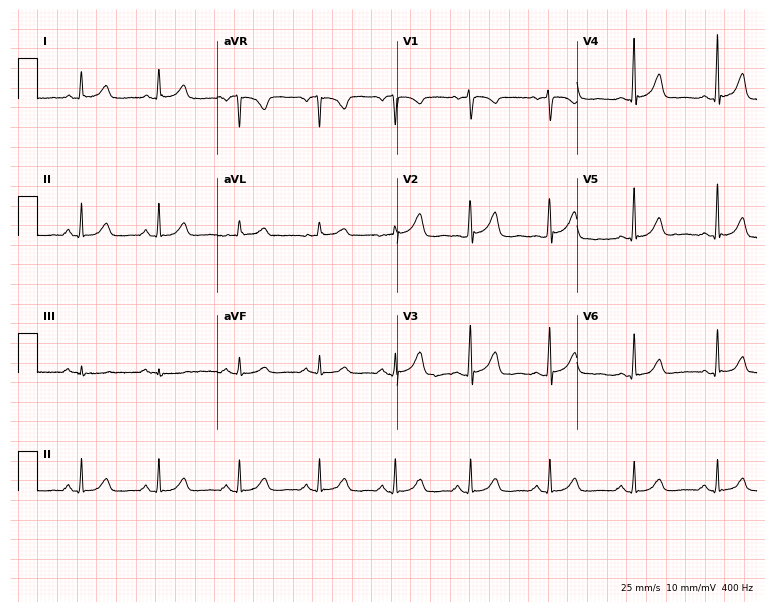
Resting 12-lead electrocardiogram. Patient: a 50-year-old female. Read as a normal ECG.